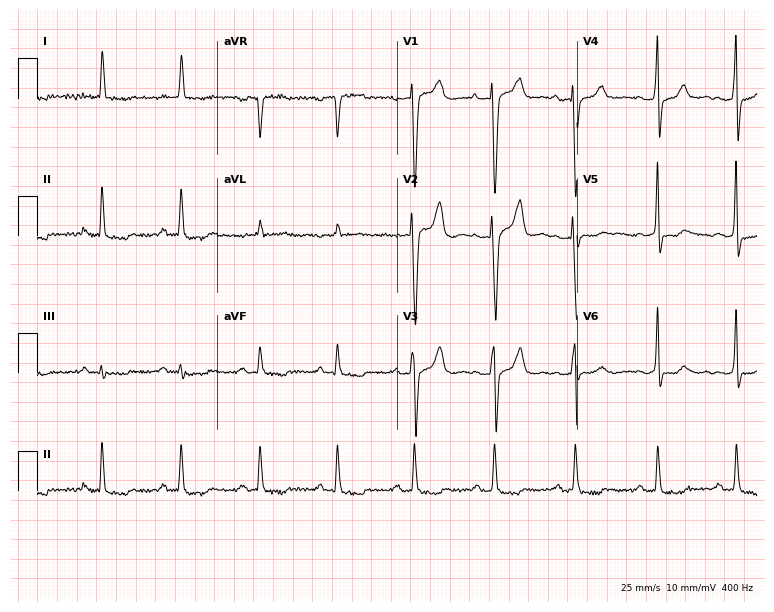
ECG (7.3-second recording at 400 Hz) — a male, 74 years old. Screened for six findings — first-degree AV block, right bundle branch block, left bundle branch block, sinus bradycardia, atrial fibrillation, sinus tachycardia — none is recorded. Only these six findings were labelled.